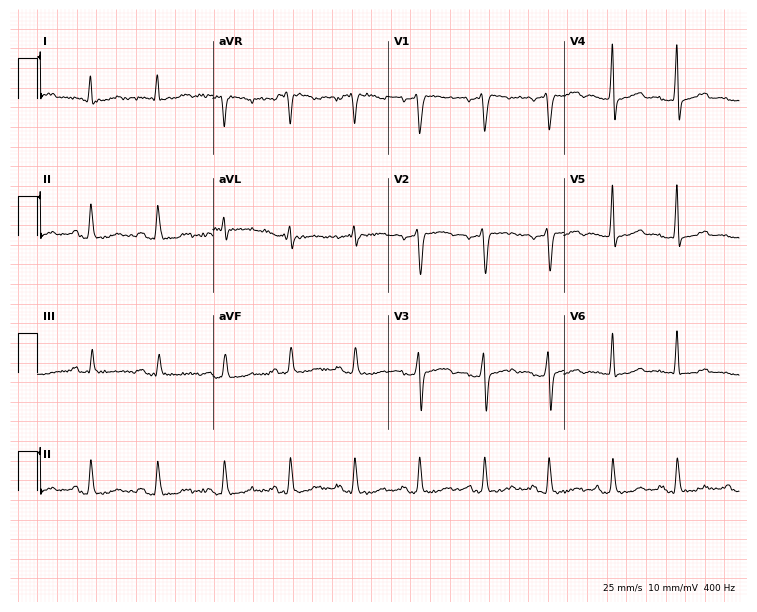
12-lead ECG from a 37-year-old man. Recorded interpretation: within normal limits.